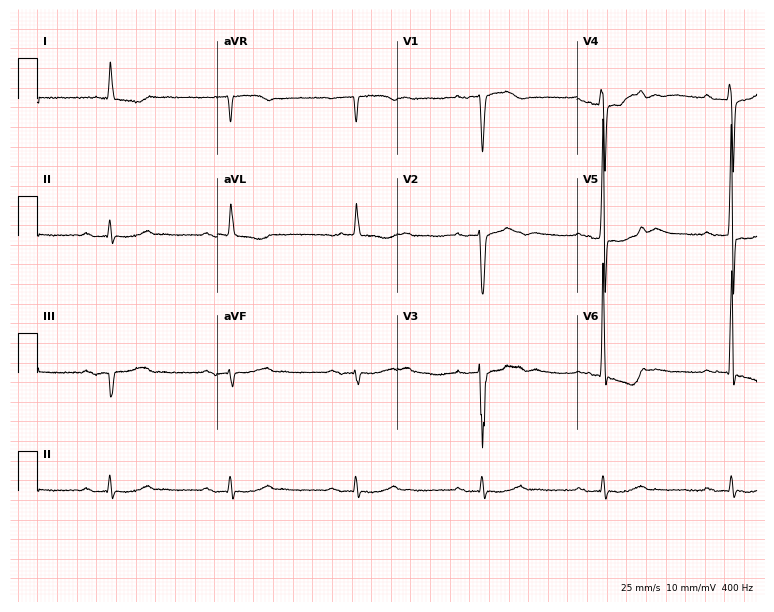
Resting 12-lead electrocardiogram. Patient: a male, 75 years old. The tracing shows first-degree AV block, sinus bradycardia (a sinus rate of 50 beats per minute or less).